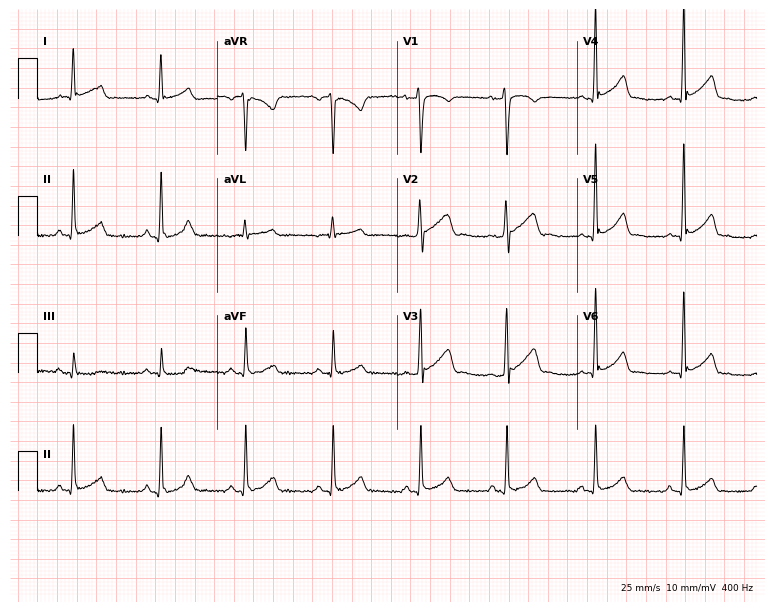
ECG (7.3-second recording at 400 Hz) — a male, 39 years old. Screened for six findings — first-degree AV block, right bundle branch block (RBBB), left bundle branch block (LBBB), sinus bradycardia, atrial fibrillation (AF), sinus tachycardia — none is recorded.